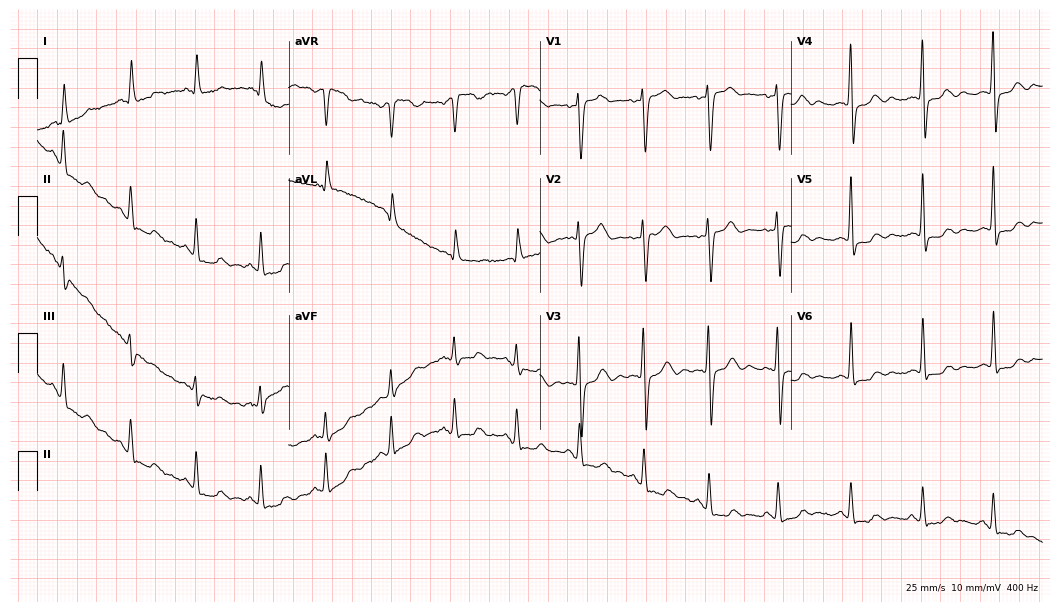
Electrocardiogram, a female, 66 years old. Of the six screened findings (first-degree AV block, right bundle branch block (RBBB), left bundle branch block (LBBB), sinus bradycardia, atrial fibrillation (AF), sinus tachycardia), none is recorded.